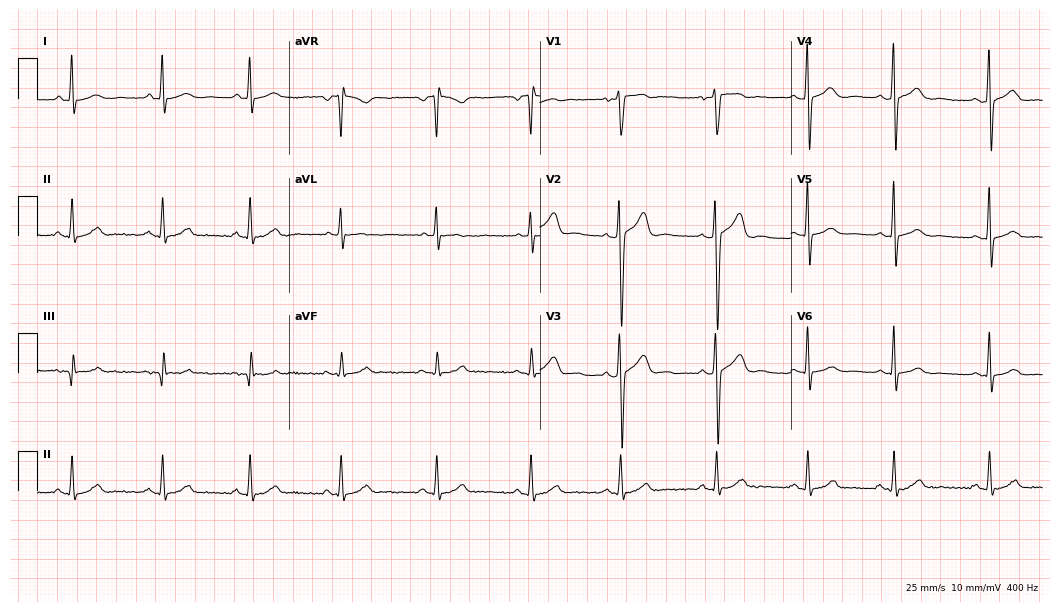
Standard 12-lead ECG recorded from a 32-year-old male patient (10.2-second recording at 400 Hz). Read as a normal ECG.